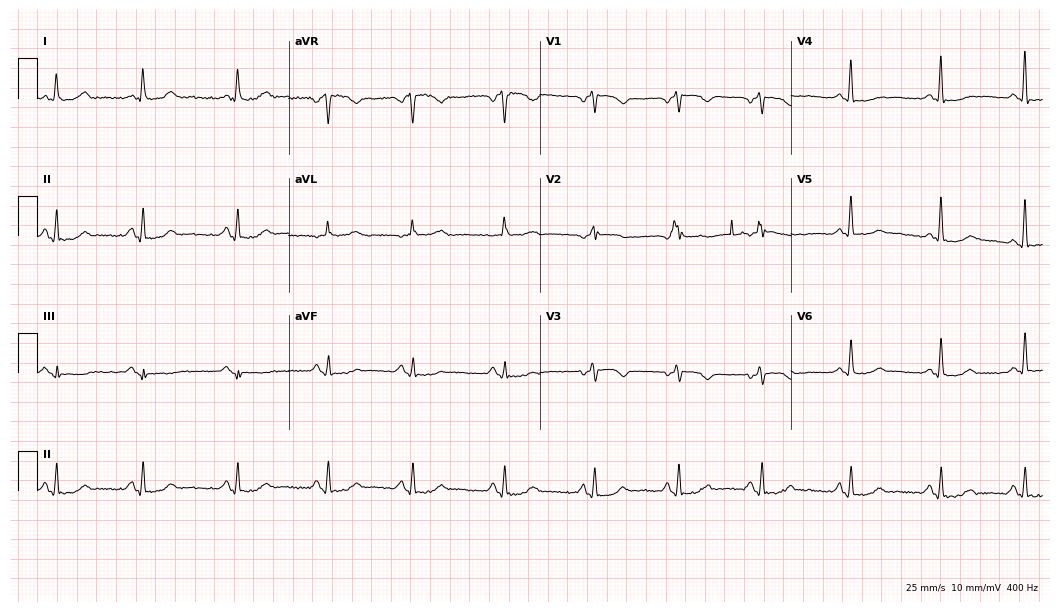
ECG — a woman, 62 years old. Screened for six findings — first-degree AV block, right bundle branch block (RBBB), left bundle branch block (LBBB), sinus bradycardia, atrial fibrillation (AF), sinus tachycardia — none is recorded.